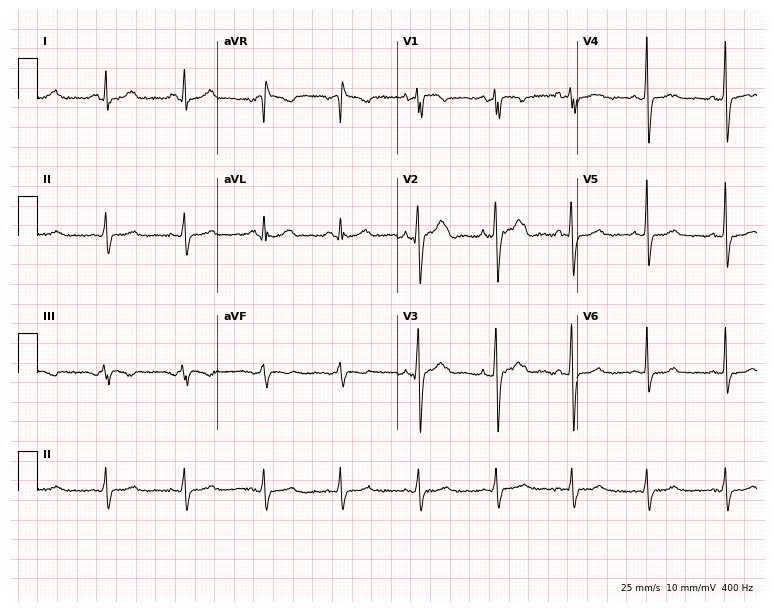
Standard 12-lead ECG recorded from a 29-year-old female (7.3-second recording at 400 Hz). None of these six findings is recorded: first-degree AV block, right bundle branch block, left bundle branch block, sinus bradycardia, atrial fibrillation, sinus tachycardia. Only these six findings were labelled.